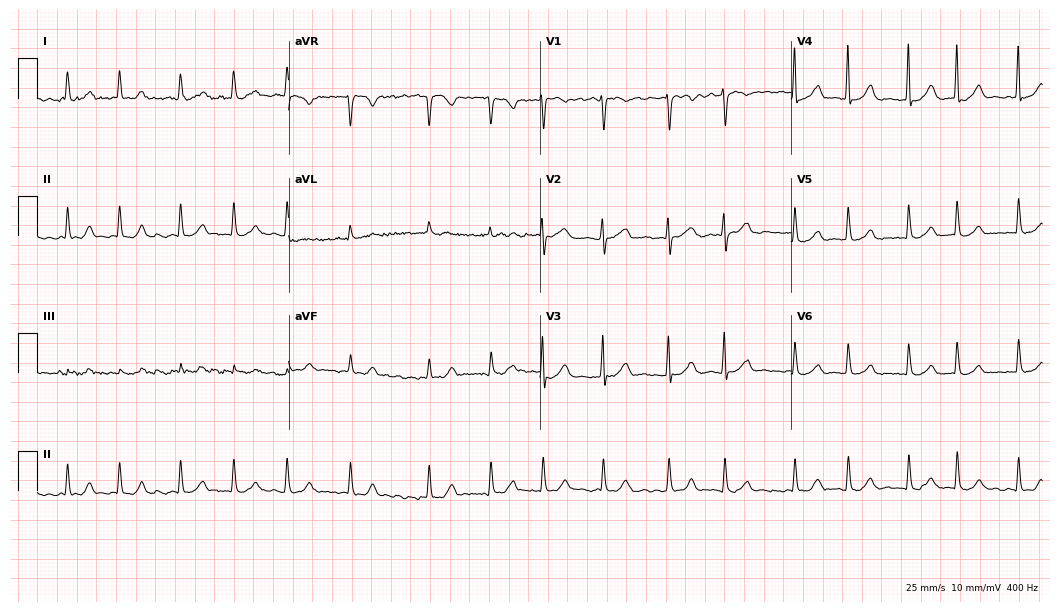
Standard 12-lead ECG recorded from a female, 79 years old (10.2-second recording at 400 Hz). None of these six findings is recorded: first-degree AV block, right bundle branch block, left bundle branch block, sinus bradycardia, atrial fibrillation, sinus tachycardia.